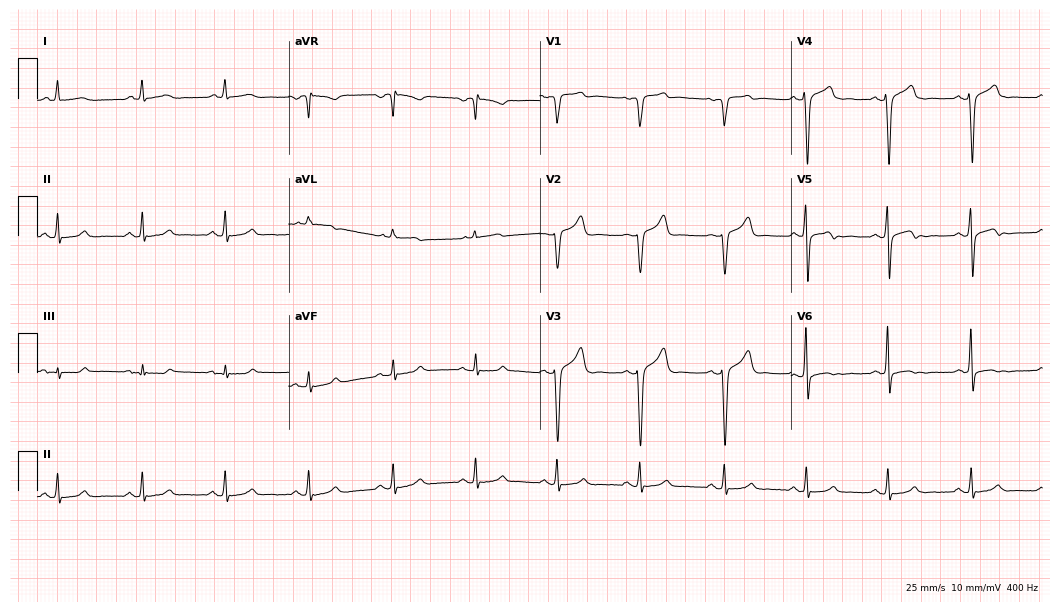
Standard 12-lead ECG recorded from a male, 20 years old. None of these six findings is recorded: first-degree AV block, right bundle branch block, left bundle branch block, sinus bradycardia, atrial fibrillation, sinus tachycardia. Only these six findings were labelled.